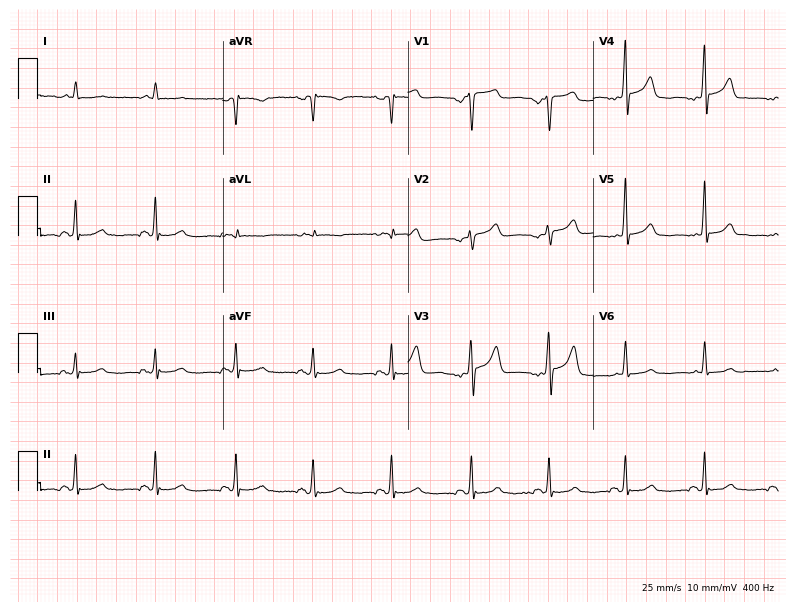
Resting 12-lead electrocardiogram (7.6-second recording at 400 Hz). Patient: a male, 65 years old. None of these six findings is recorded: first-degree AV block, right bundle branch block, left bundle branch block, sinus bradycardia, atrial fibrillation, sinus tachycardia.